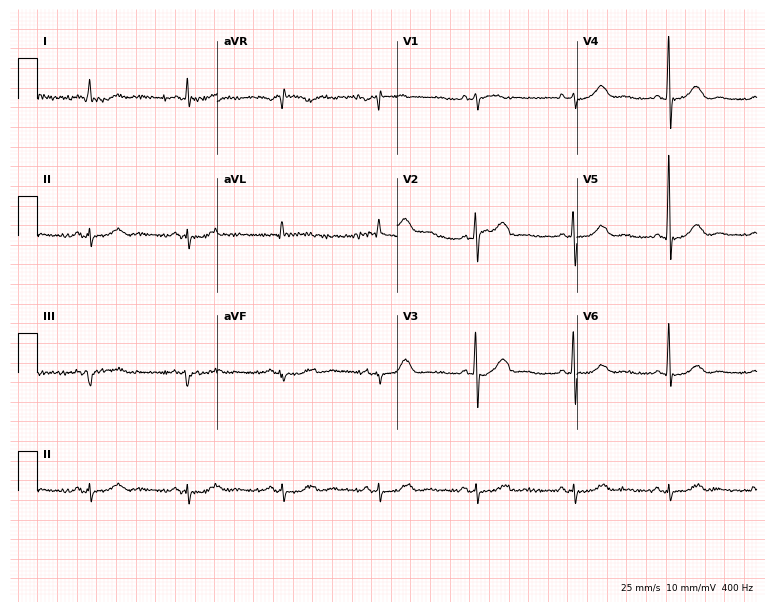
Resting 12-lead electrocardiogram. Patient: a 78-year-old female. None of these six findings is recorded: first-degree AV block, right bundle branch block, left bundle branch block, sinus bradycardia, atrial fibrillation, sinus tachycardia. Other findings, if any, are not listed.